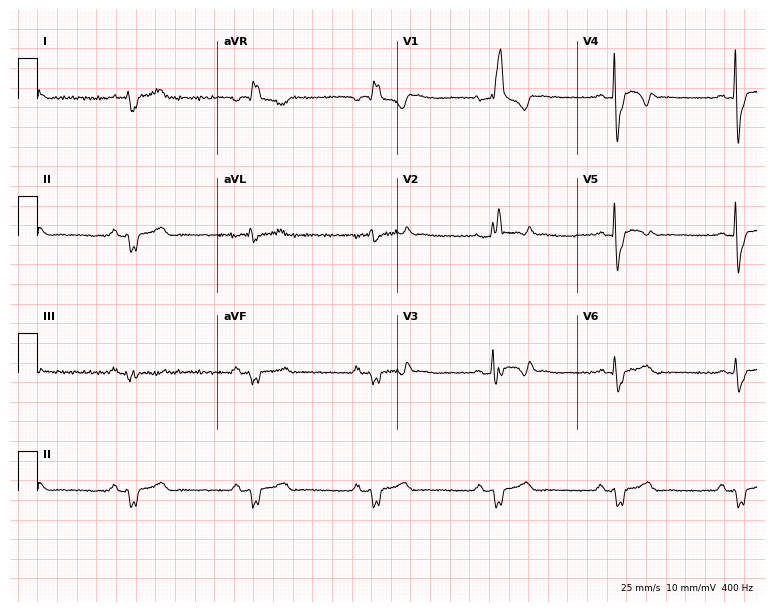
ECG (7.3-second recording at 400 Hz) — a male patient, 55 years old. Findings include right bundle branch block (RBBB), sinus bradycardia (a sinus rate of 50 beats per minute or less).